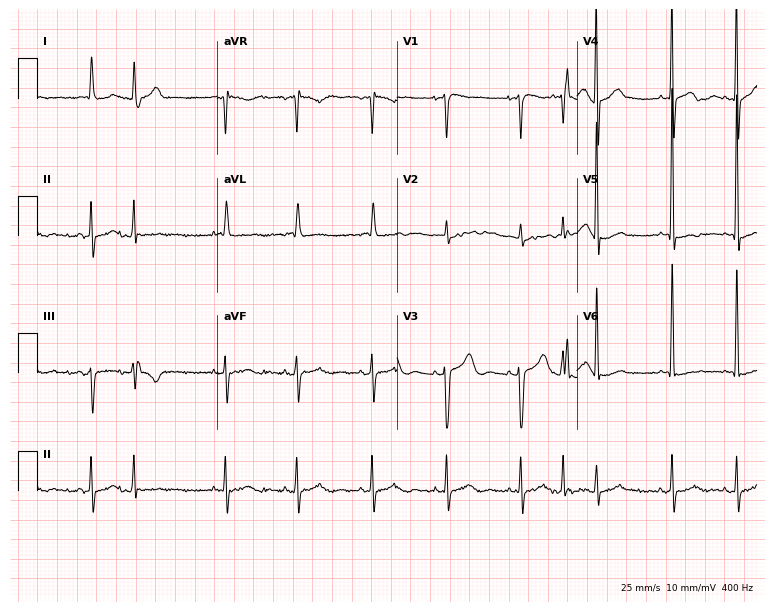
Standard 12-lead ECG recorded from a female patient, 82 years old (7.3-second recording at 400 Hz). None of these six findings is recorded: first-degree AV block, right bundle branch block, left bundle branch block, sinus bradycardia, atrial fibrillation, sinus tachycardia.